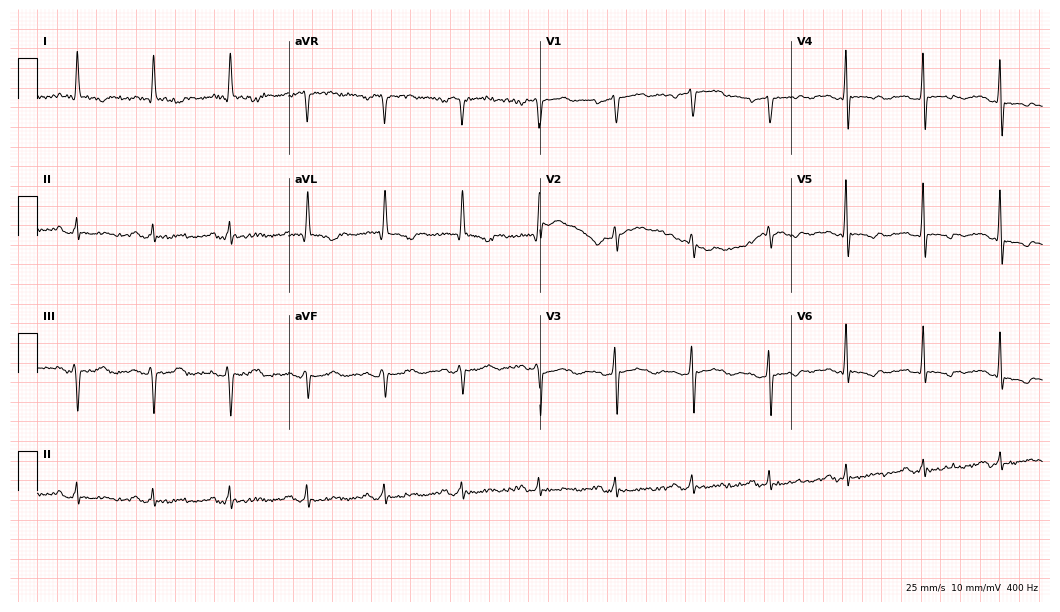
Electrocardiogram, a 73-year-old female patient. Of the six screened findings (first-degree AV block, right bundle branch block, left bundle branch block, sinus bradycardia, atrial fibrillation, sinus tachycardia), none is recorded.